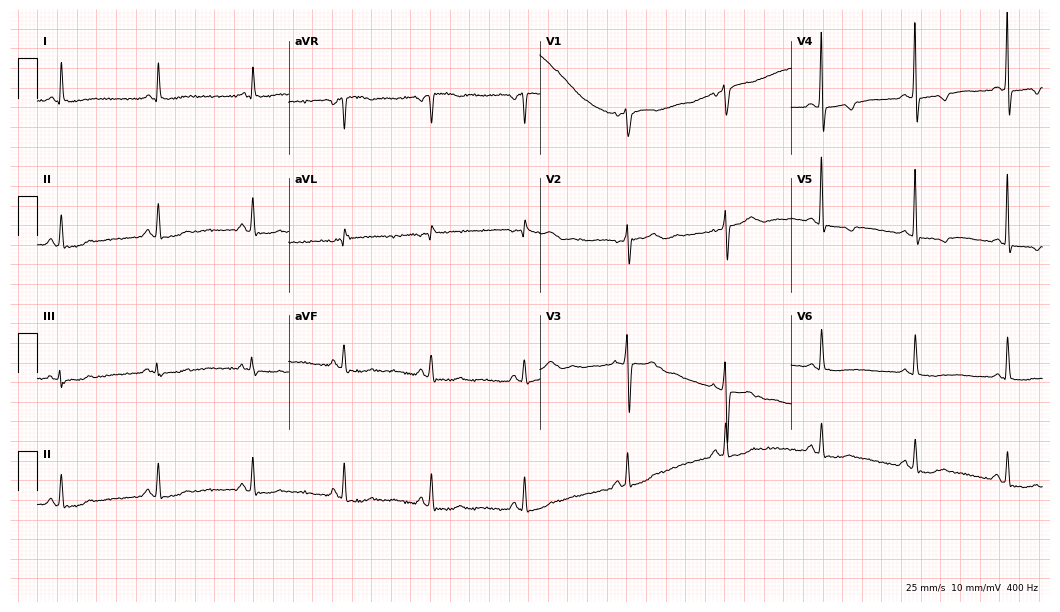
12-lead ECG from a 67-year-old female patient. No first-degree AV block, right bundle branch block, left bundle branch block, sinus bradycardia, atrial fibrillation or sinus tachycardia recorded for this tracing. Only these six findings were labelled.